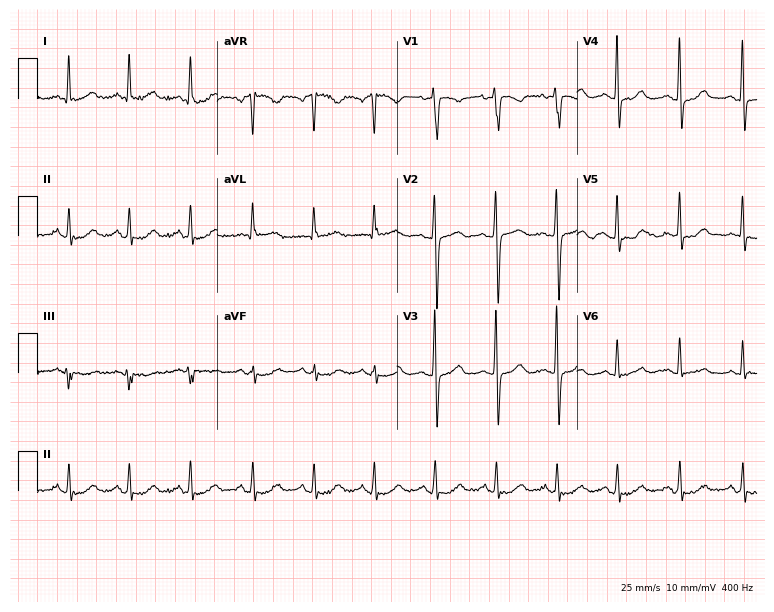
Electrocardiogram (7.3-second recording at 400 Hz), a woman, 65 years old. Of the six screened findings (first-degree AV block, right bundle branch block (RBBB), left bundle branch block (LBBB), sinus bradycardia, atrial fibrillation (AF), sinus tachycardia), none is recorded. Findings outside these six are not listed.